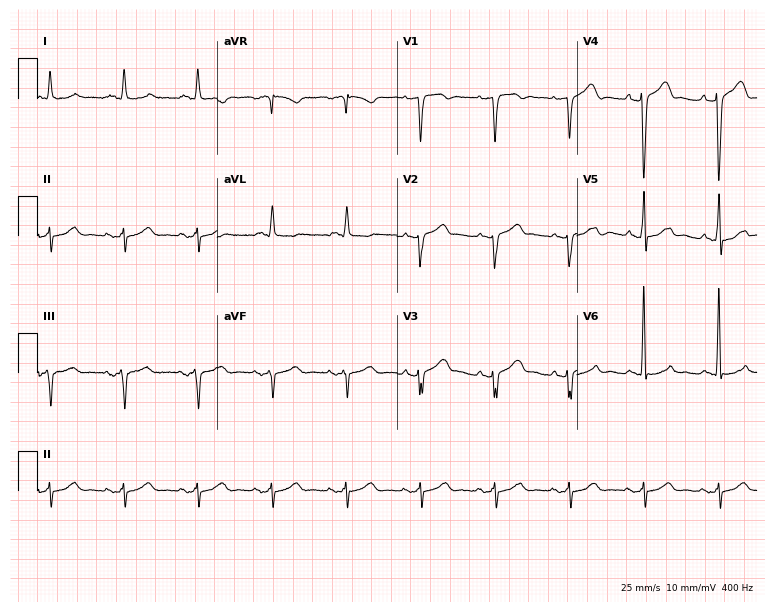
Resting 12-lead electrocardiogram. Patient: a man, 67 years old. None of these six findings is recorded: first-degree AV block, right bundle branch block, left bundle branch block, sinus bradycardia, atrial fibrillation, sinus tachycardia.